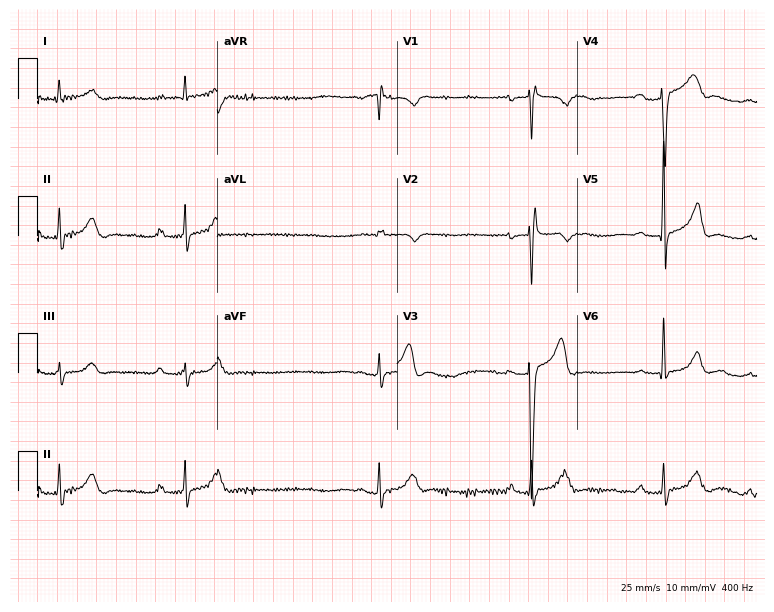
Standard 12-lead ECG recorded from a 25-year-old man (7.3-second recording at 400 Hz). The tracing shows atrial fibrillation (AF).